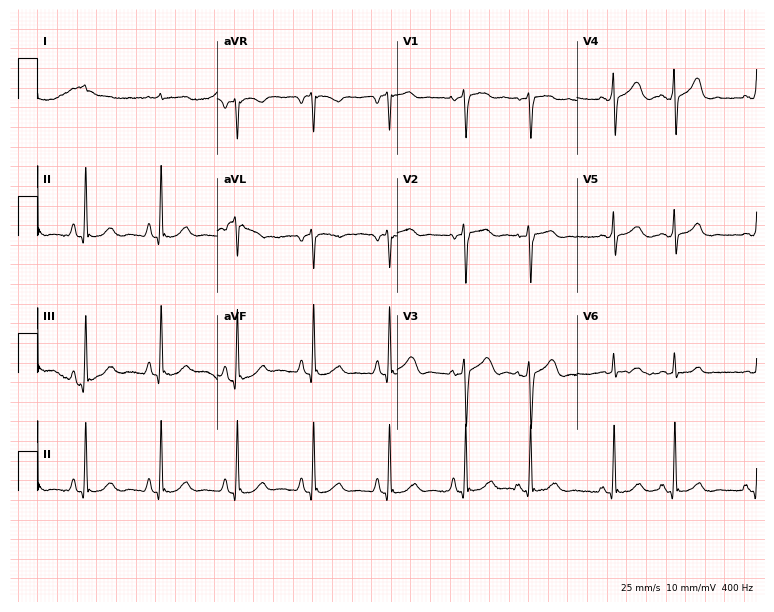
ECG — a 75-year-old male patient. Screened for six findings — first-degree AV block, right bundle branch block, left bundle branch block, sinus bradycardia, atrial fibrillation, sinus tachycardia — none is recorded. Findings outside these six are not listed.